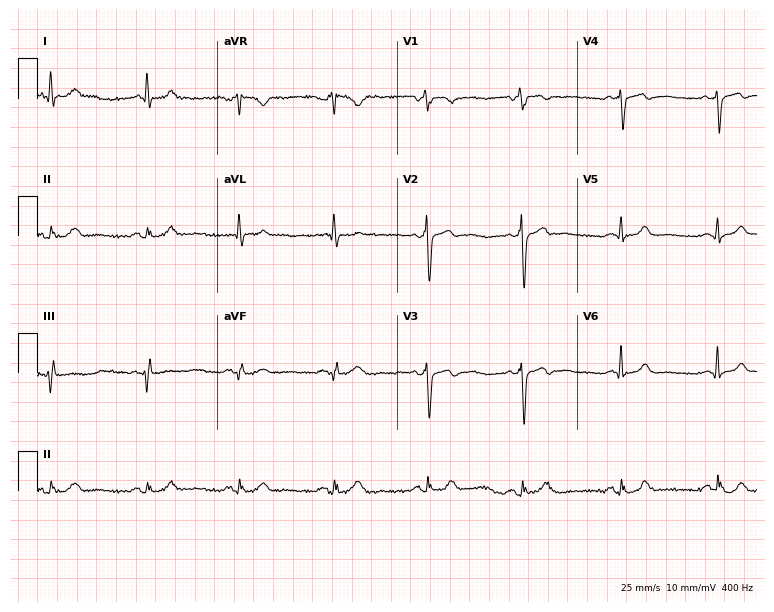
Standard 12-lead ECG recorded from a man, 65 years old. None of these six findings is recorded: first-degree AV block, right bundle branch block, left bundle branch block, sinus bradycardia, atrial fibrillation, sinus tachycardia.